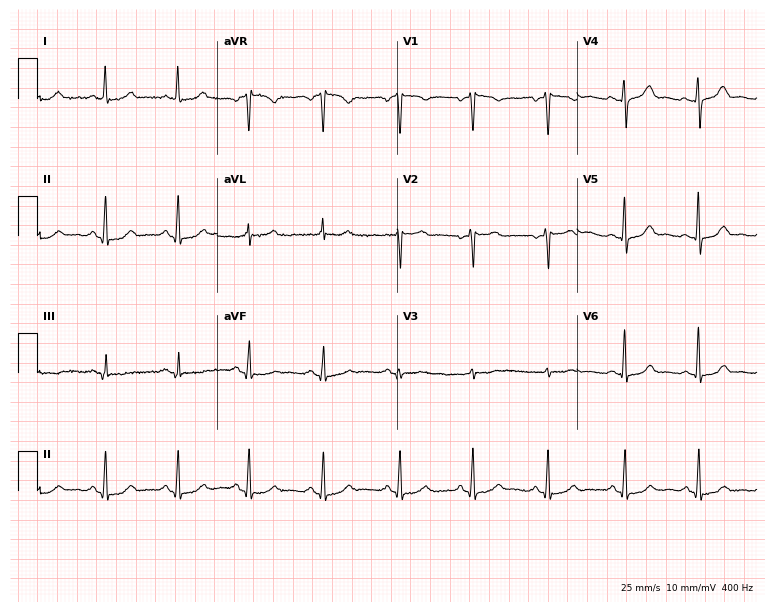
Resting 12-lead electrocardiogram (7.3-second recording at 400 Hz). Patient: a woman, 42 years old. Read as a normal ECG.